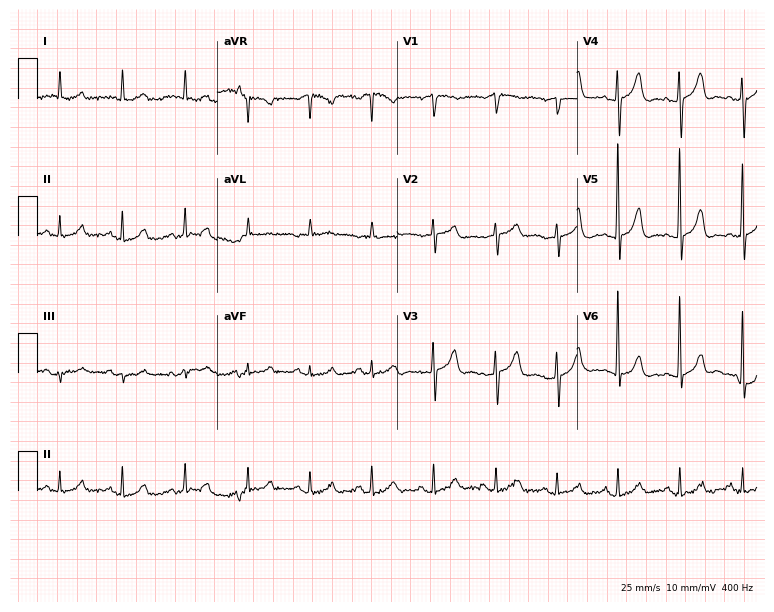
ECG — a female, 85 years old. Labelled as a normal ECG.